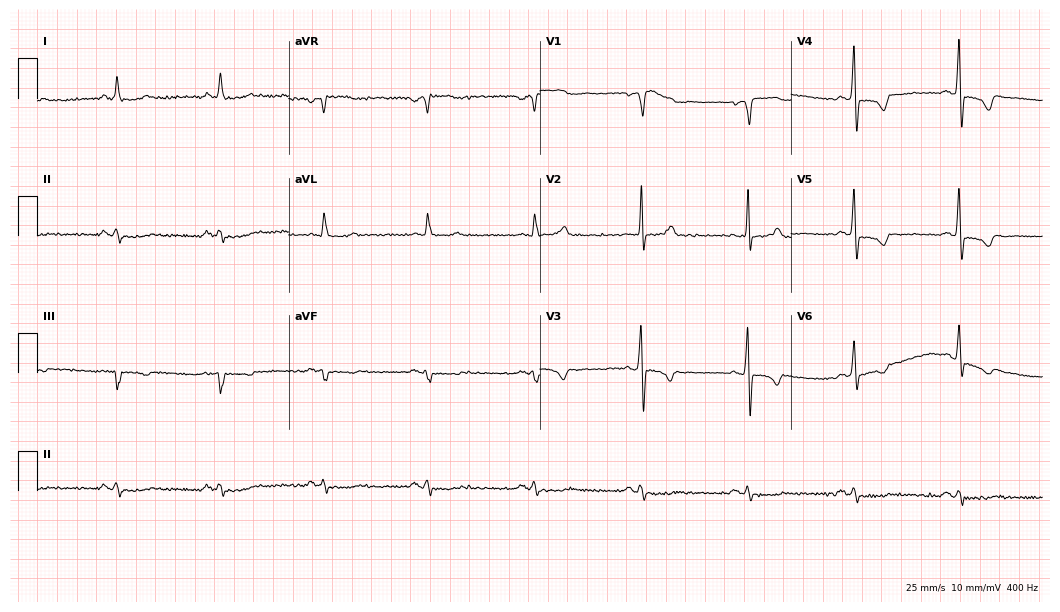
Standard 12-lead ECG recorded from a 73-year-old male (10.2-second recording at 400 Hz). None of these six findings is recorded: first-degree AV block, right bundle branch block, left bundle branch block, sinus bradycardia, atrial fibrillation, sinus tachycardia.